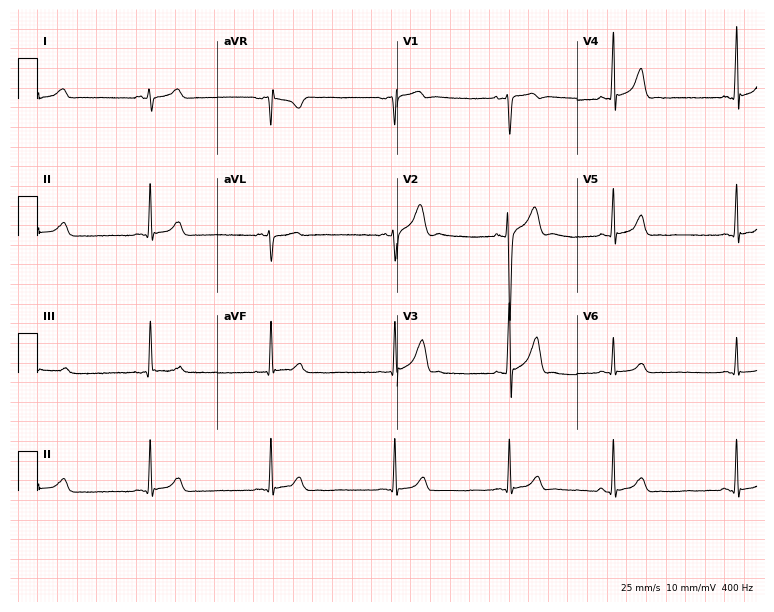
Standard 12-lead ECG recorded from an 18-year-old male patient (7.3-second recording at 400 Hz). Read as a normal ECG.